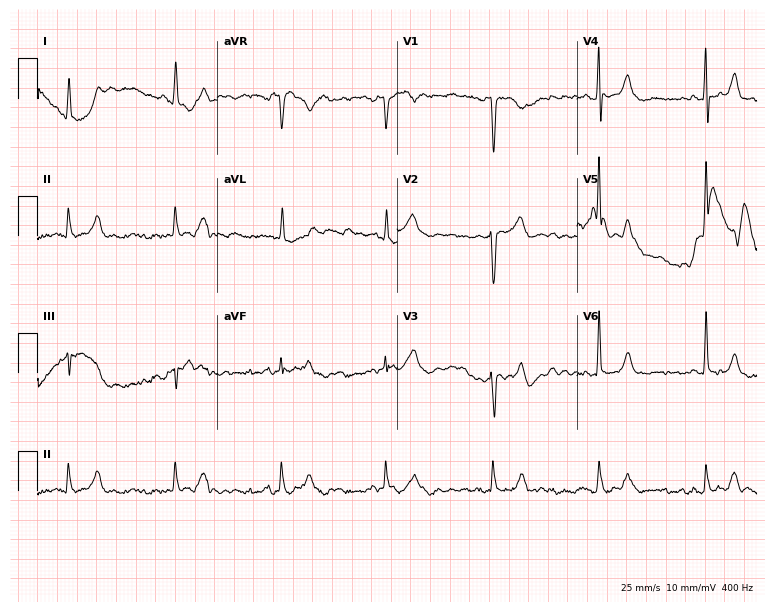
Resting 12-lead electrocardiogram (7.3-second recording at 400 Hz). Patient: a 69-year-old male. None of these six findings is recorded: first-degree AV block, right bundle branch block, left bundle branch block, sinus bradycardia, atrial fibrillation, sinus tachycardia. Findings outside these six are not listed.